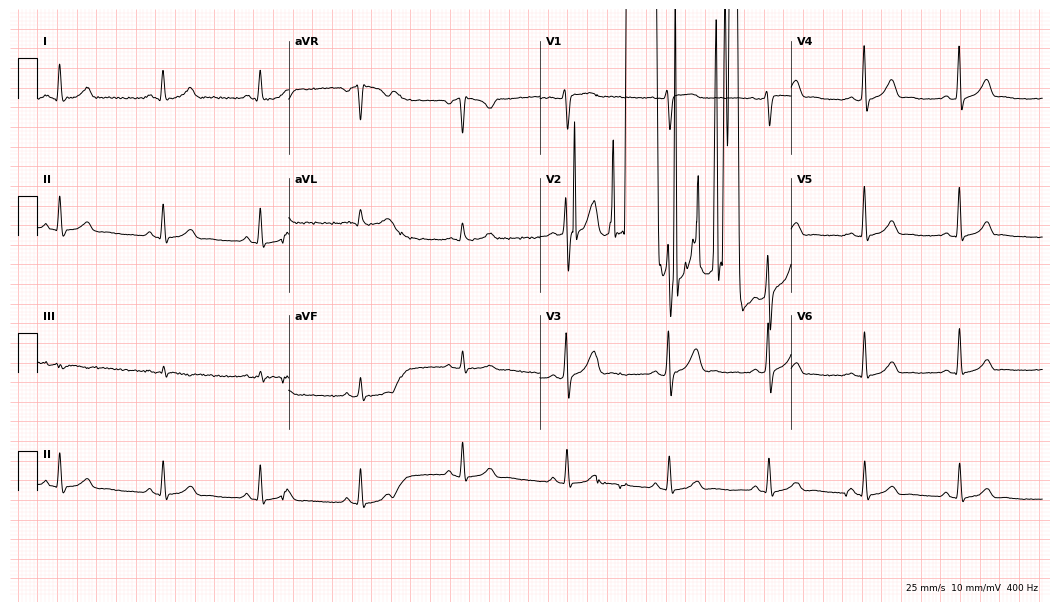
12-lead ECG from a man, 32 years old. Screened for six findings — first-degree AV block, right bundle branch block, left bundle branch block, sinus bradycardia, atrial fibrillation, sinus tachycardia — none is recorded.